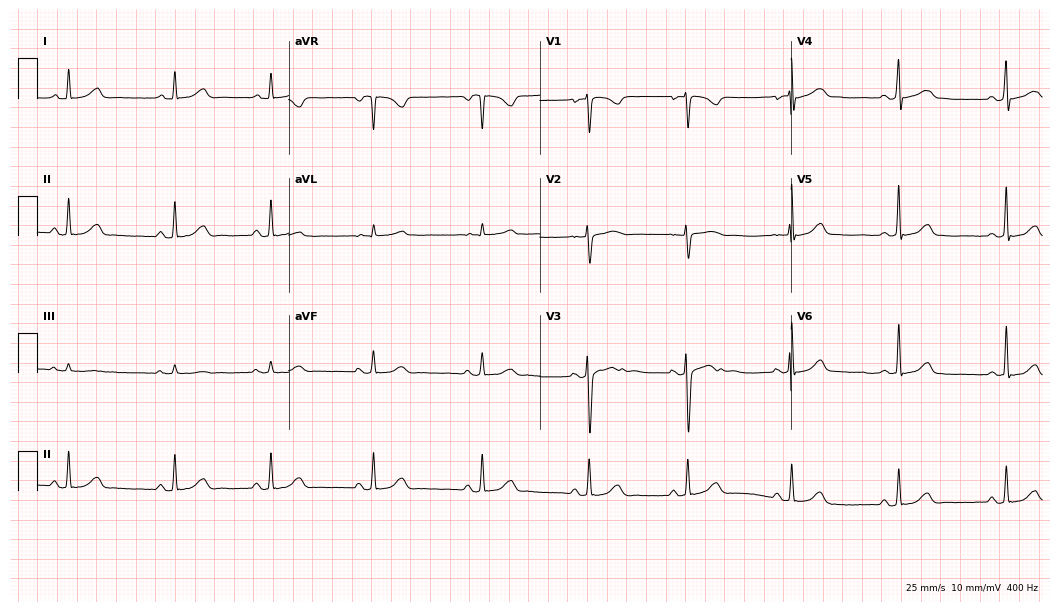
12-lead ECG from a 33-year-old woman. Recorded interpretation: within normal limits.